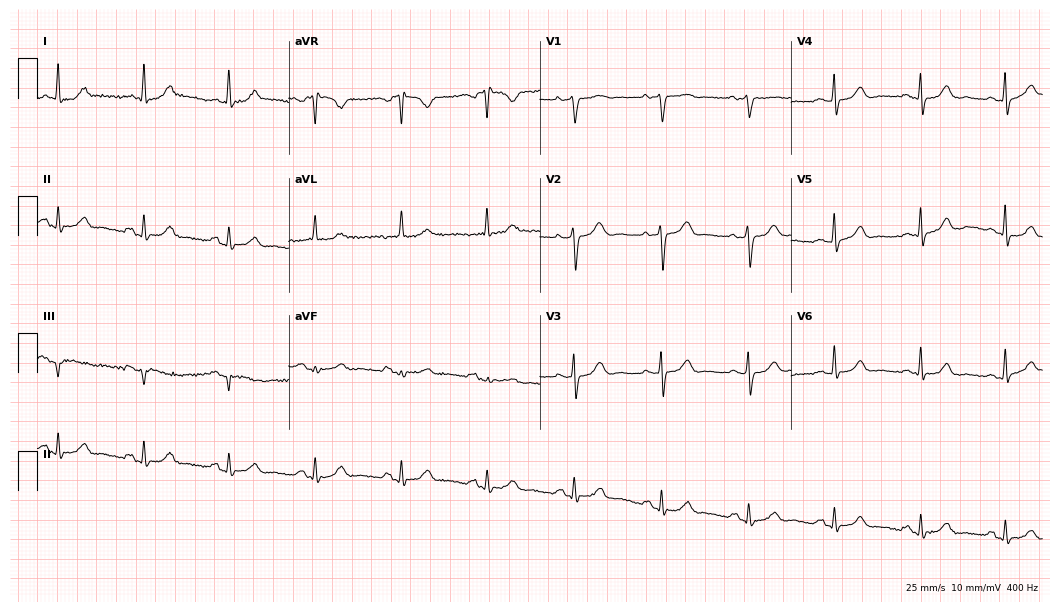
Resting 12-lead electrocardiogram (10.2-second recording at 400 Hz). Patient: a woman, 71 years old. None of these six findings is recorded: first-degree AV block, right bundle branch block (RBBB), left bundle branch block (LBBB), sinus bradycardia, atrial fibrillation (AF), sinus tachycardia.